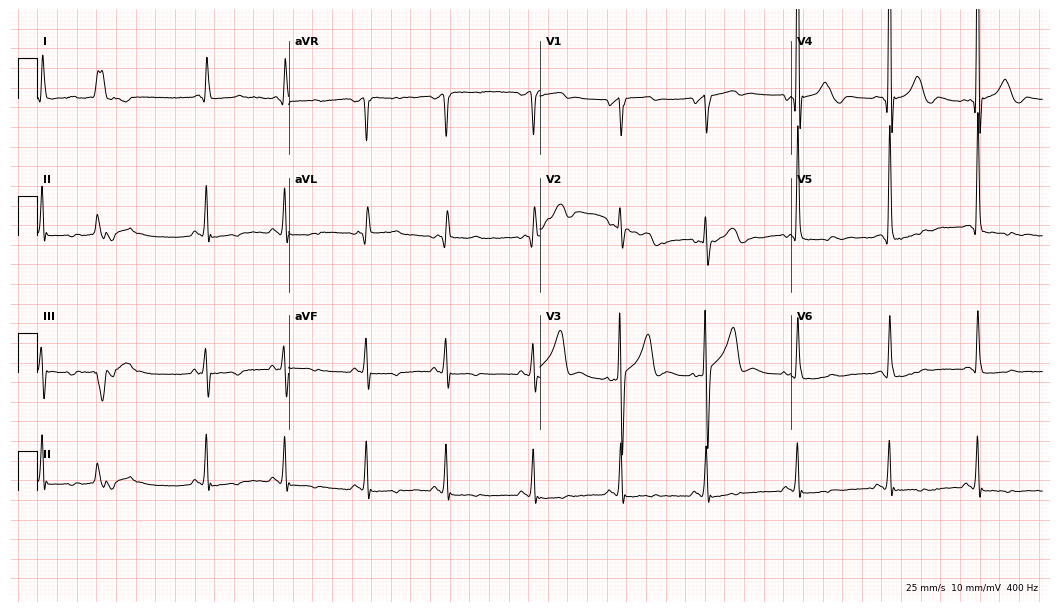
ECG — a 73-year-old male patient. Screened for six findings — first-degree AV block, right bundle branch block (RBBB), left bundle branch block (LBBB), sinus bradycardia, atrial fibrillation (AF), sinus tachycardia — none is recorded. Only these six findings were labelled.